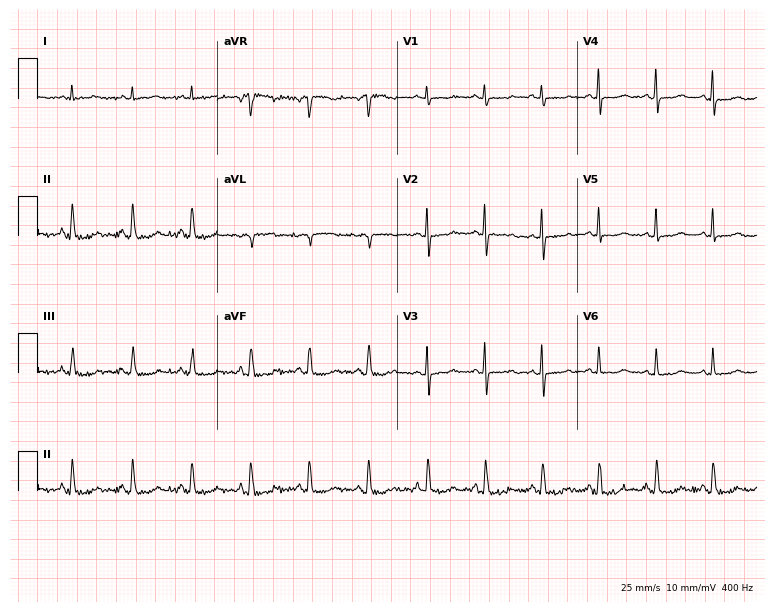
Standard 12-lead ECG recorded from a 21-year-old woman (7.3-second recording at 400 Hz). Read as a normal ECG.